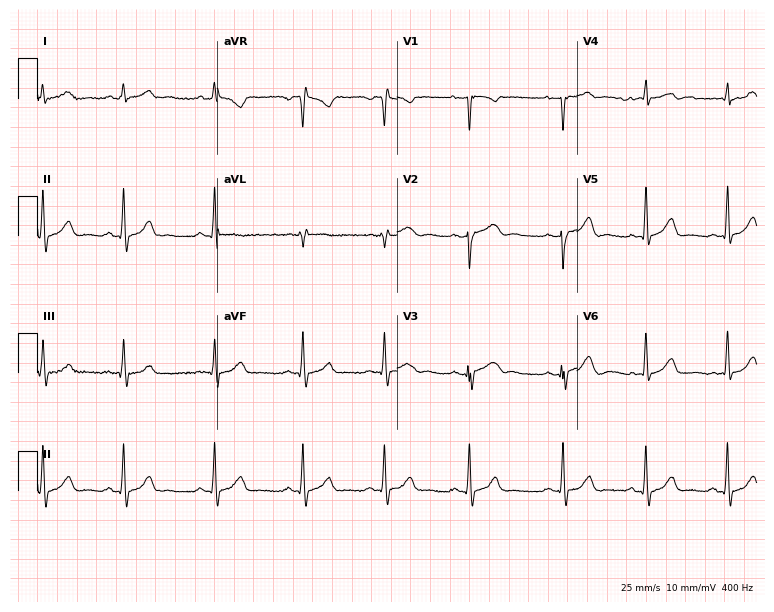
12-lead ECG from a 17-year-old woman. Labelled as a normal ECG.